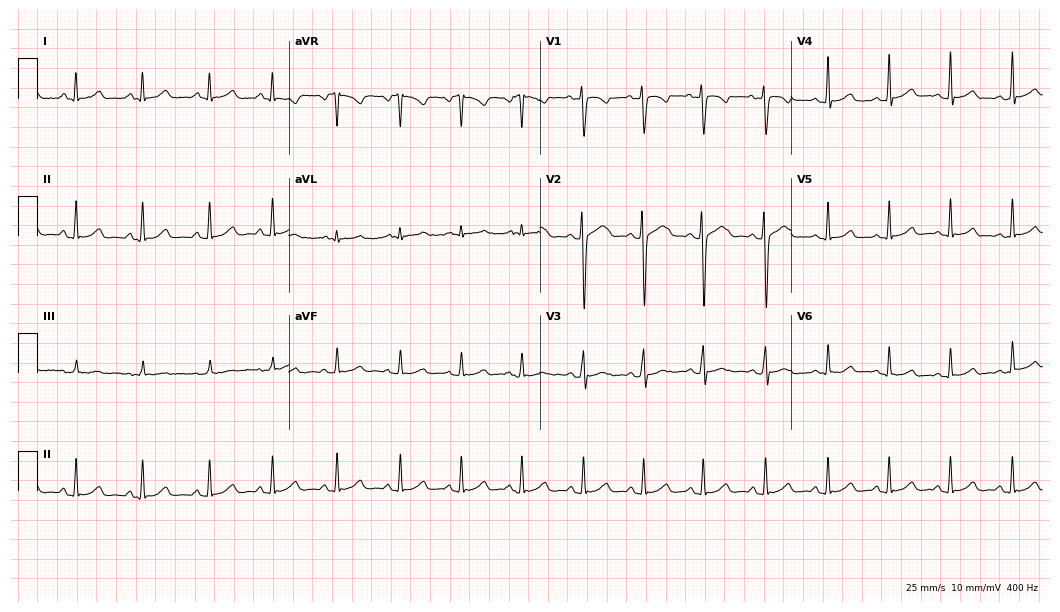
Resting 12-lead electrocardiogram. Patient: a 22-year-old female. Read as a normal ECG.